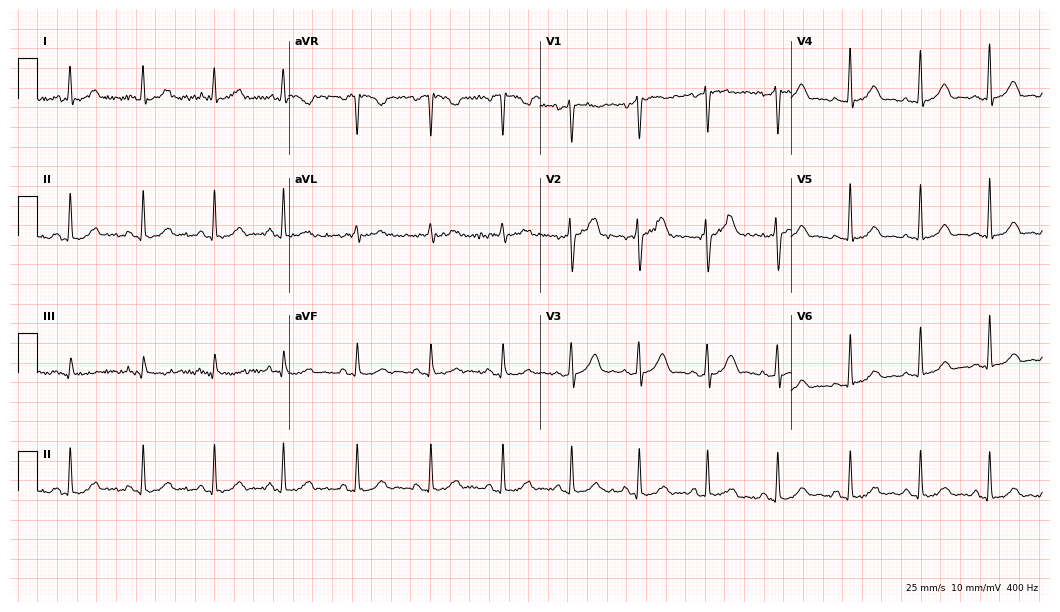
ECG — a 44-year-old man. Labelled as a normal ECG.